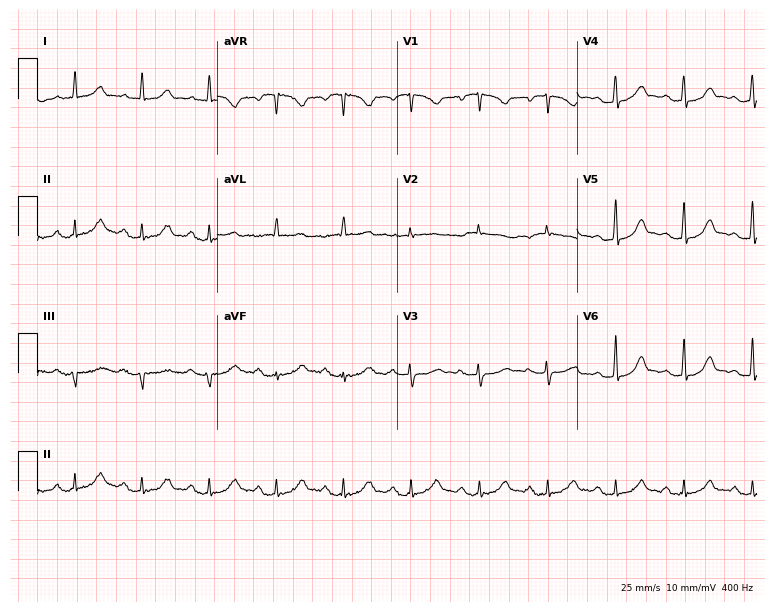
12-lead ECG from a female, 69 years old. Screened for six findings — first-degree AV block, right bundle branch block, left bundle branch block, sinus bradycardia, atrial fibrillation, sinus tachycardia — none is recorded.